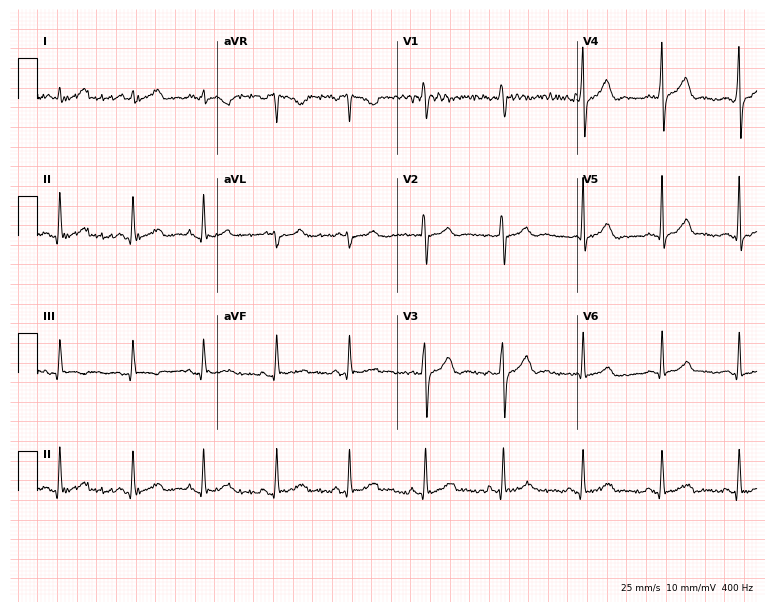
ECG (7.3-second recording at 400 Hz) — a male patient, 29 years old. Screened for six findings — first-degree AV block, right bundle branch block (RBBB), left bundle branch block (LBBB), sinus bradycardia, atrial fibrillation (AF), sinus tachycardia — none is recorded. Other findings, if any, are not listed.